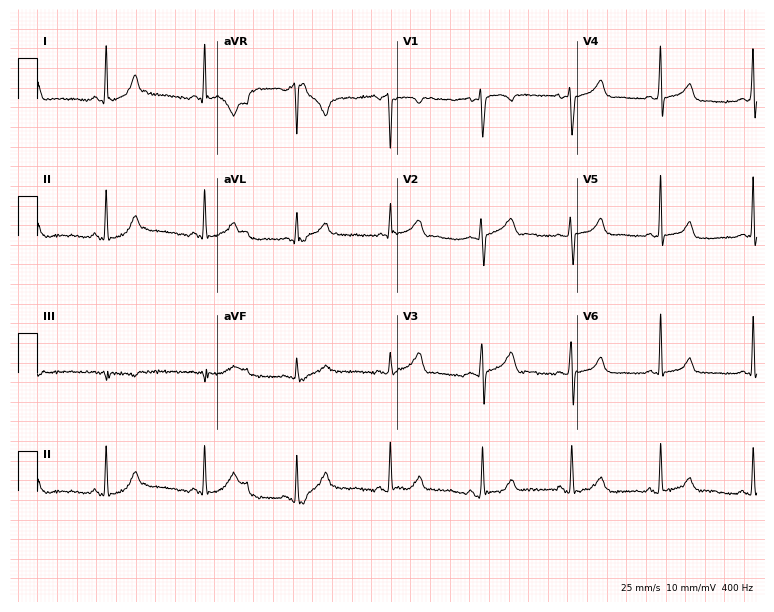
Resting 12-lead electrocardiogram. Patient: a female, 29 years old. Read as a normal ECG.